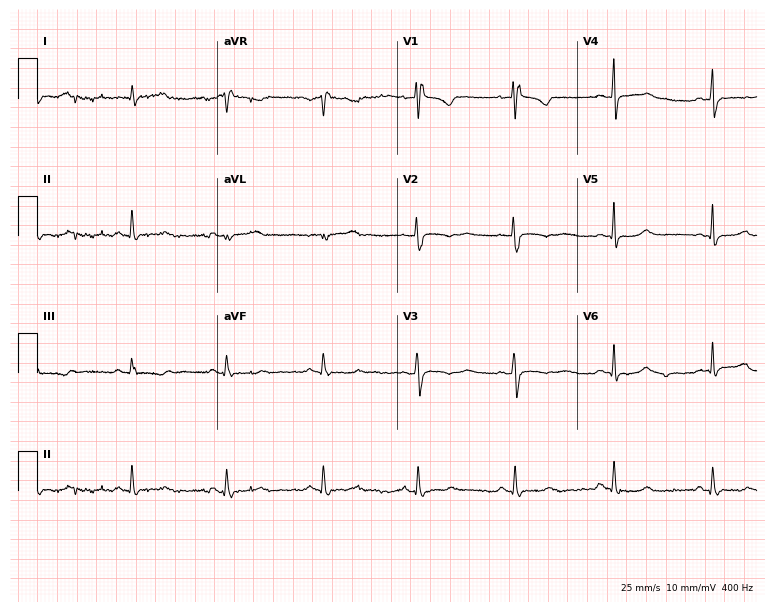
Electrocardiogram, a 39-year-old female. Of the six screened findings (first-degree AV block, right bundle branch block, left bundle branch block, sinus bradycardia, atrial fibrillation, sinus tachycardia), none is recorded. Findings outside these six are not listed.